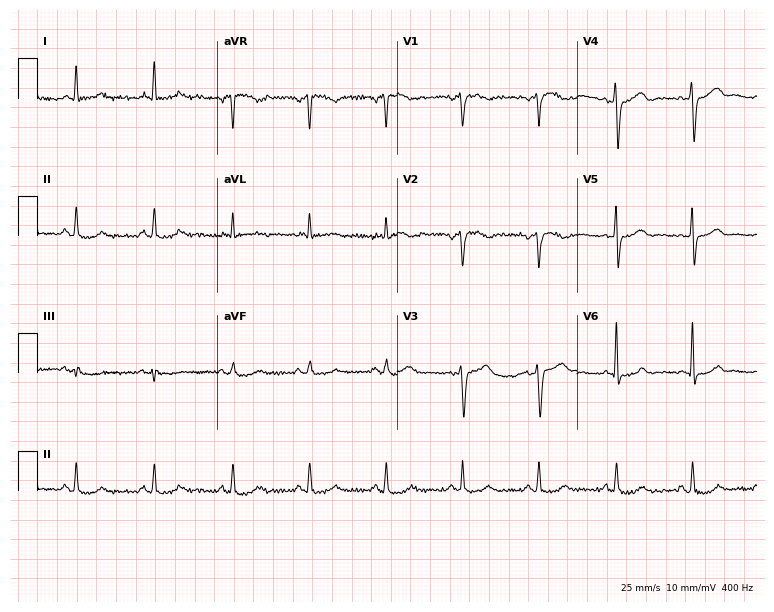
Resting 12-lead electrocardiogram (7.3-second recording at 400 Hz). Patient: a 58-year-old male. Read as a normal ECG.